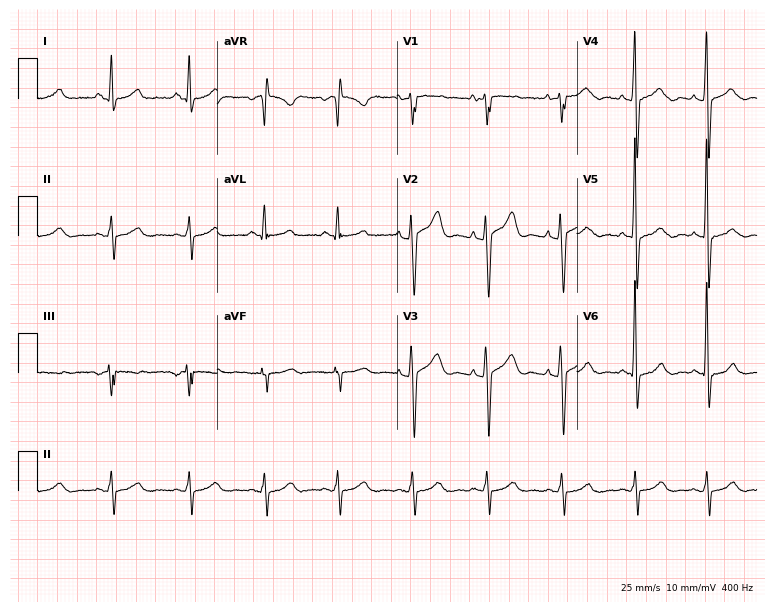
12-lead ECG from a female patient, 27 years old. Labelled as a normal ECG.